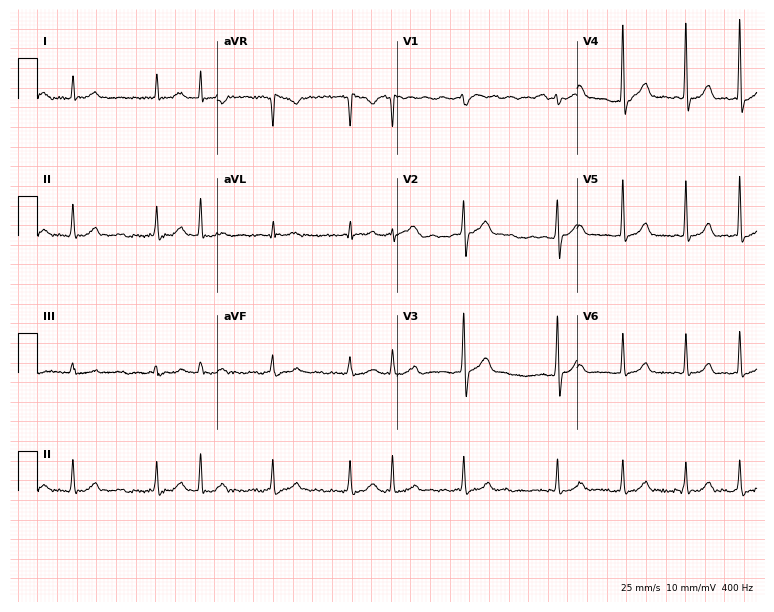
ECG (7.3-second recording at 400 Hz) — a male, 70 years old. Findings include atrial fibrillation.